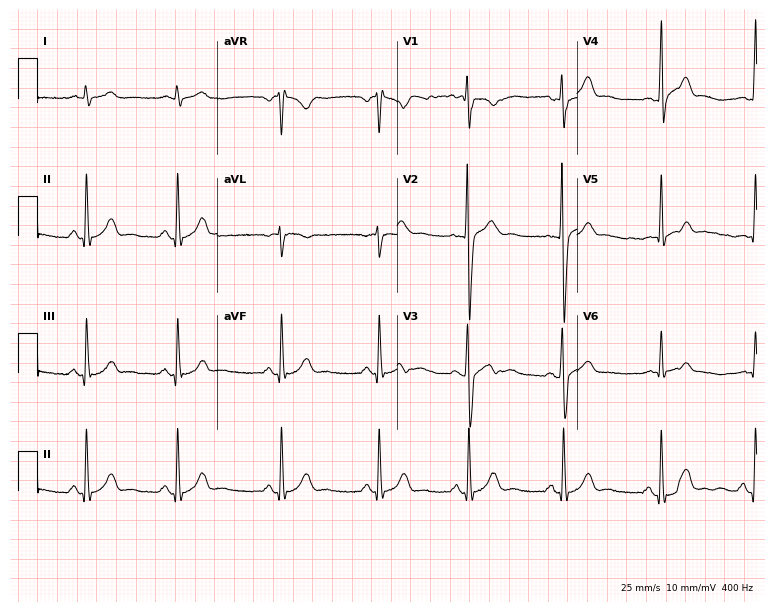
Standard 12-lead ECG recorded from a male patient, 31 years old. Read as a normal ECG.